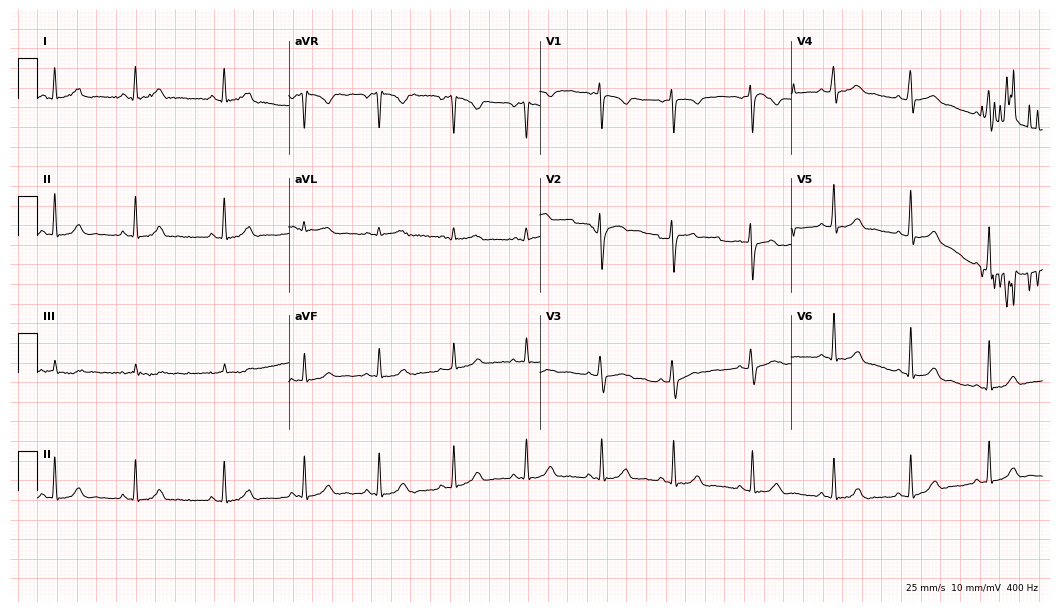
Standard 12-lead ECG recorded from a female, 22 years old. Read as a normal ECG.